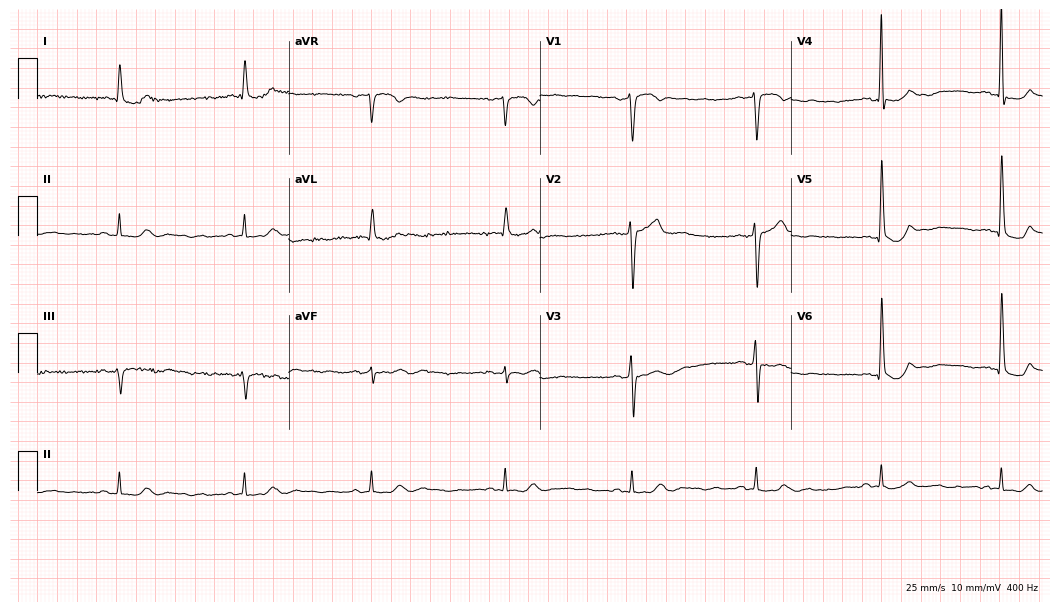
Resting 12-lead electrocardiogram (10.2-second recording at 400 Hz). Patient: a male, 82 years old. None of these six findings is recorded: first-degree AV block, right bundle branch block, left bundle branch block, sinus bradycardia, atrial fibrillation, sinus tachycardia.